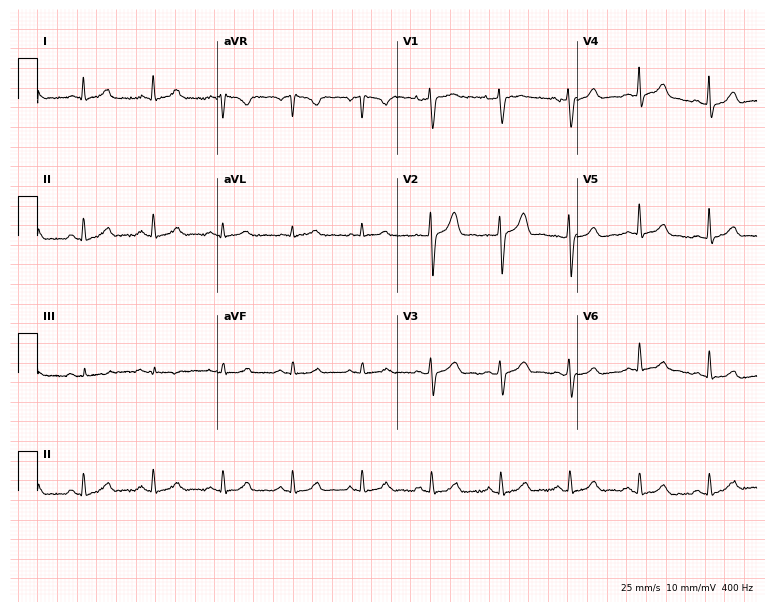
Electrocardiogram, a 43-year-old male patient. Overall reading on record: normal ECG.